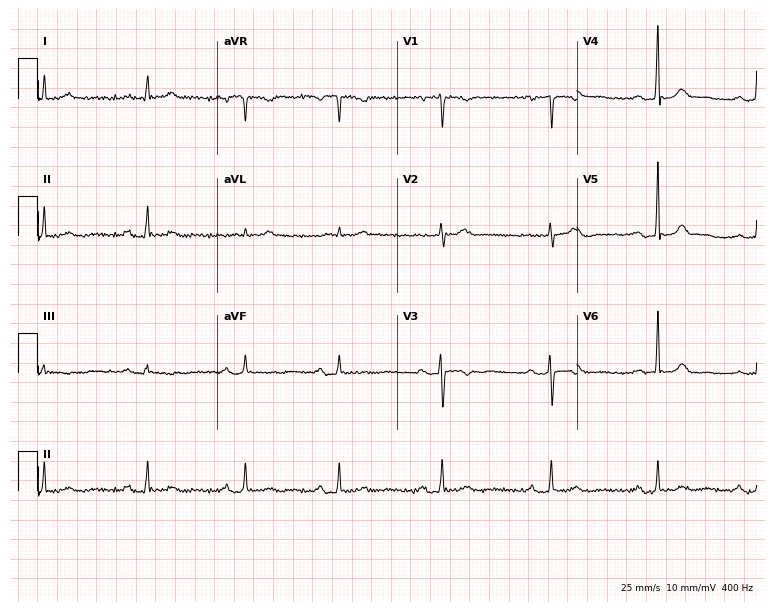
Standard 12-lead ECG recorded from a 29-year-old female (7.3-second recording at 400 Hz). None of these six findings is recorded: first-degree AV block, right bundle branch block, left bundle branch block, sinus bradycardia, atrial fibrillation, sinus tachycardia. Other findings, if any, are not listed.